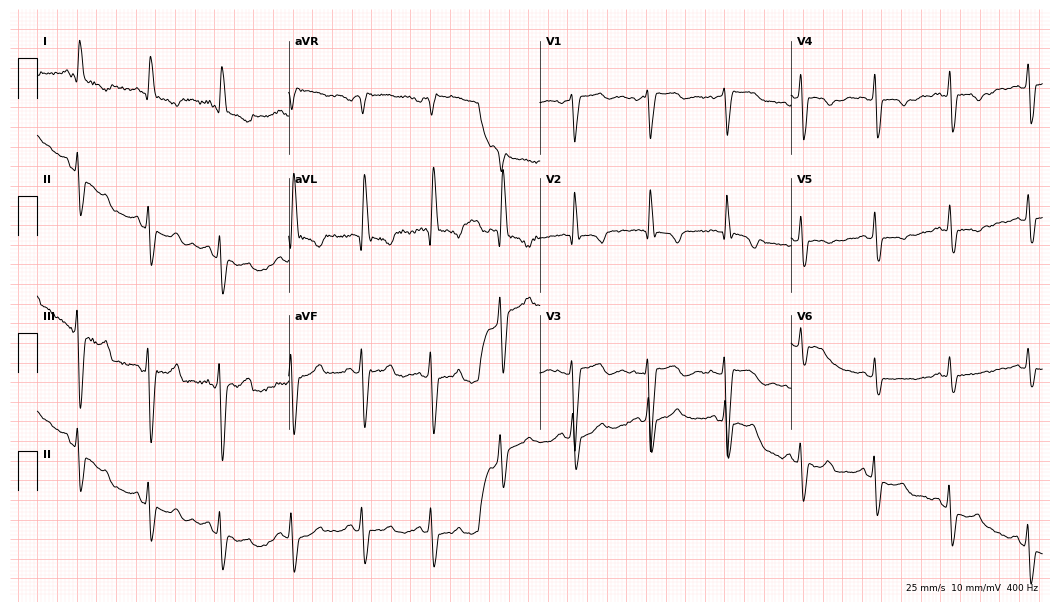
Resting 12-lead electrocardiogram. Patient: a woman, 46 years old. The tracing shows right bundle branch block.